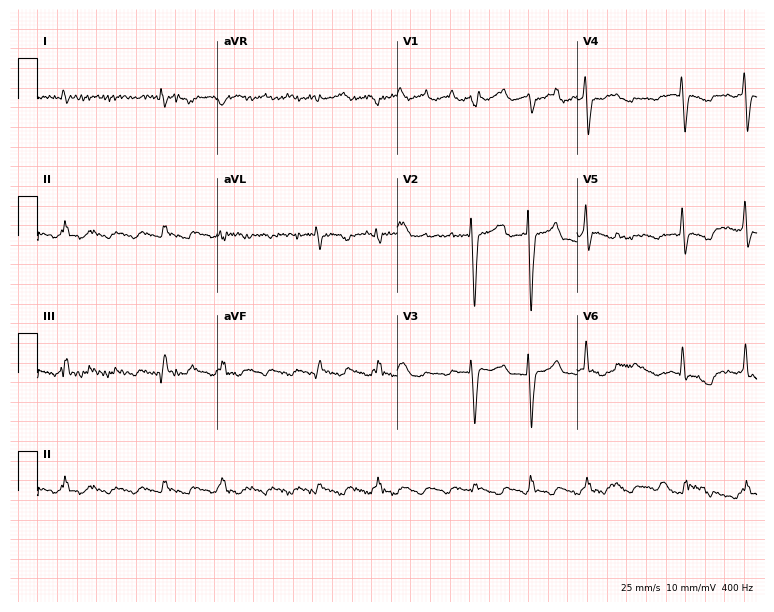
Resting 12-lead electrocardiogram. Patient: an 82-year-old man. None of these six findings is recorded: first-degree AV block, right bundle branch block, left bundle branch block, sinus bradycardia, atrial fibrillation, sinus tachycardia.